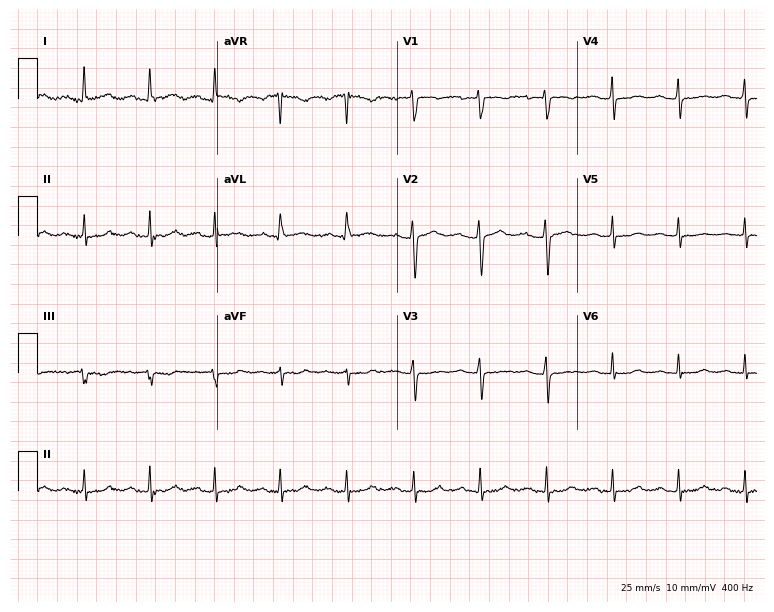
Electrocardiogram (7.3-second recording at 400 Hz), a woman, 53 years old. Of the six screened findings (first-degree AV block, right bundle branch block, left bundle branch block, sinus bradycardia, atrial fibrillation, sinus tachycardia), none is recorded.